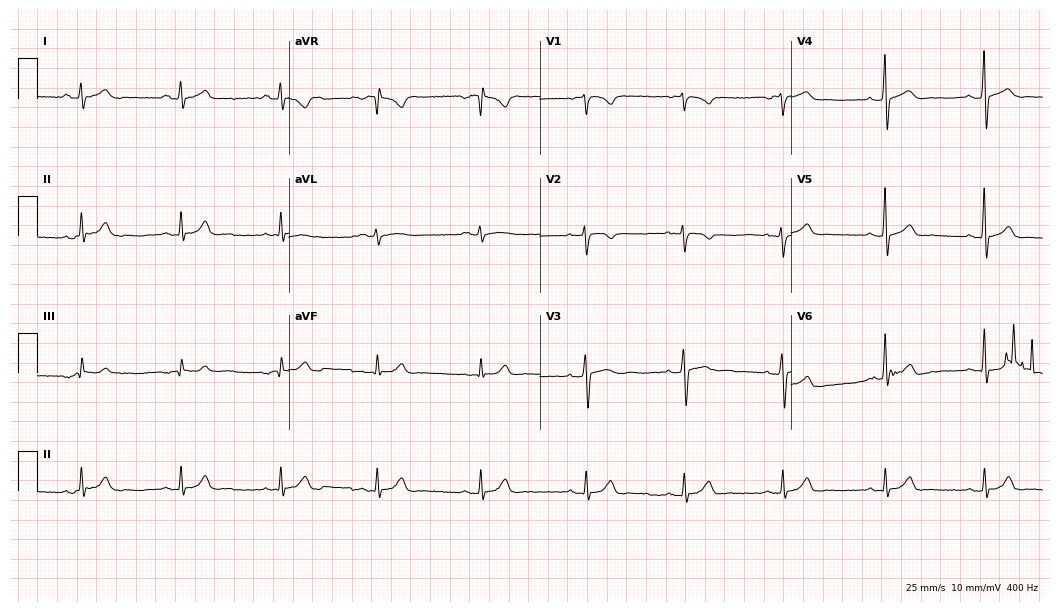
ECG (10.2-second recording at 400 Hz) — a man, 32 years old. Labelled as a normal ECG.